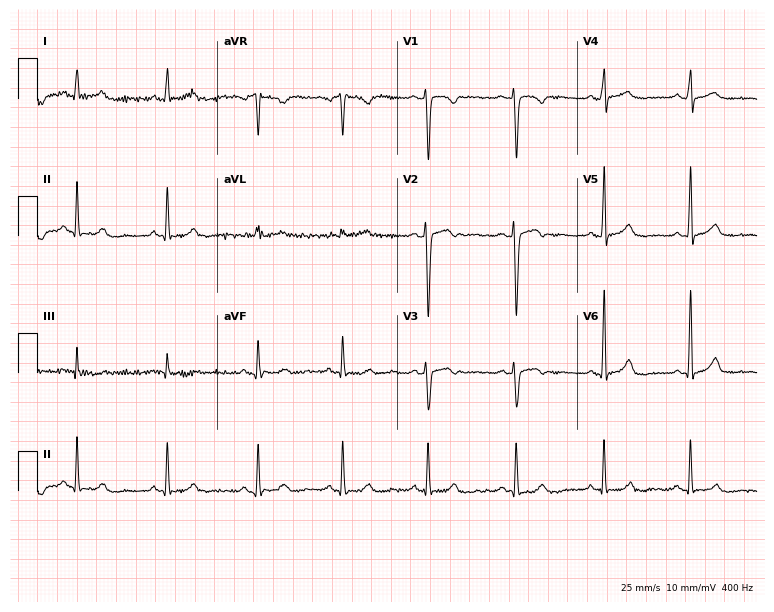
12-lead ECG from a 32-year-old female. Labelled as a normal ECG.